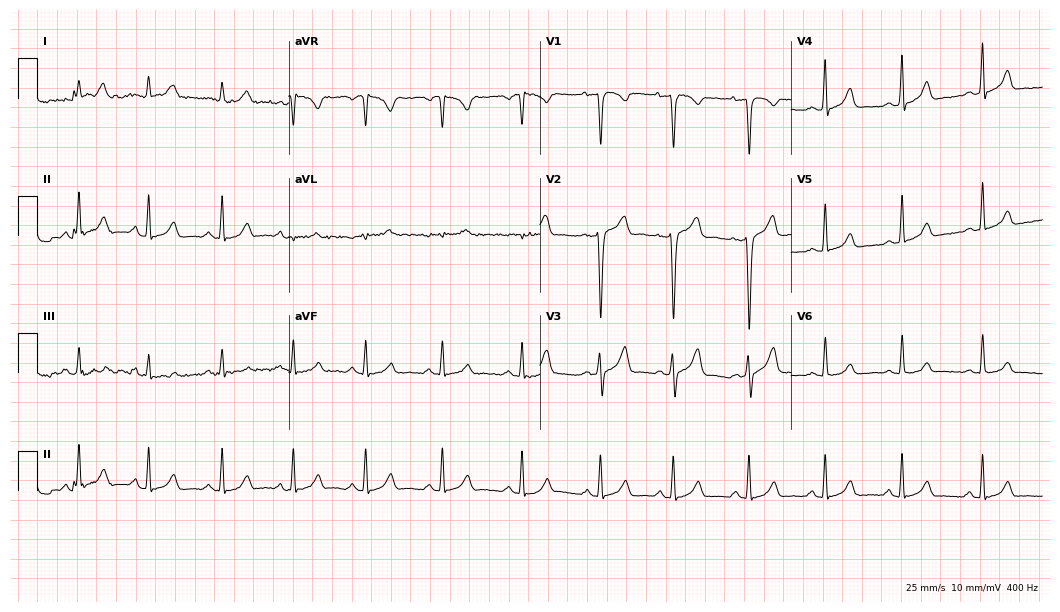
12-lead ECG from a male patient, 20 years old. Labelled as a normal ECG.